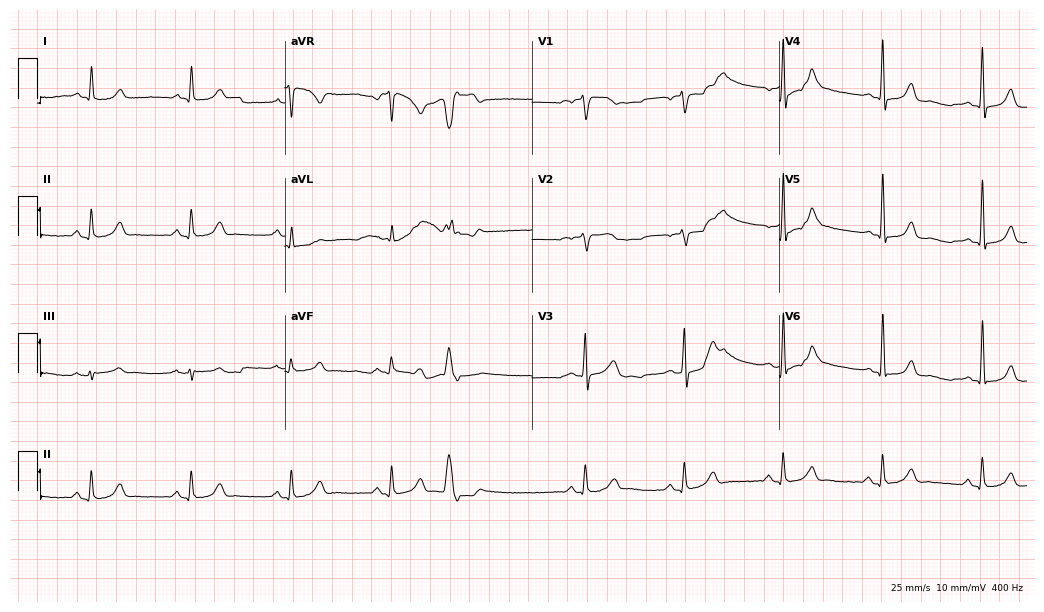
12-lead ECG from a male, 84 years old (10.1-second recording at 400 Hz). No first-degree AV block, right bundle branch block (RBBB), left bundle branch block (LBBB), sinus bradycardia, atrial fibrillation (AF) or sinus tachycardia recorded for this tracing.